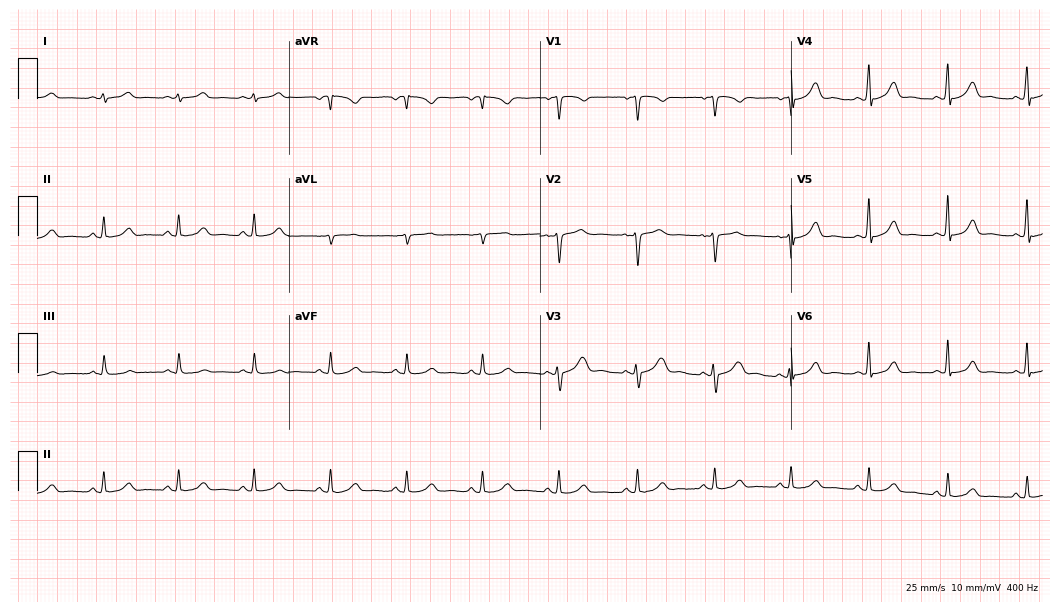
Resting 12-lead electrocardiogram (10.2-second recording at 400 Hz). Patient: a 39-year-old female. Read as a normal ECG.